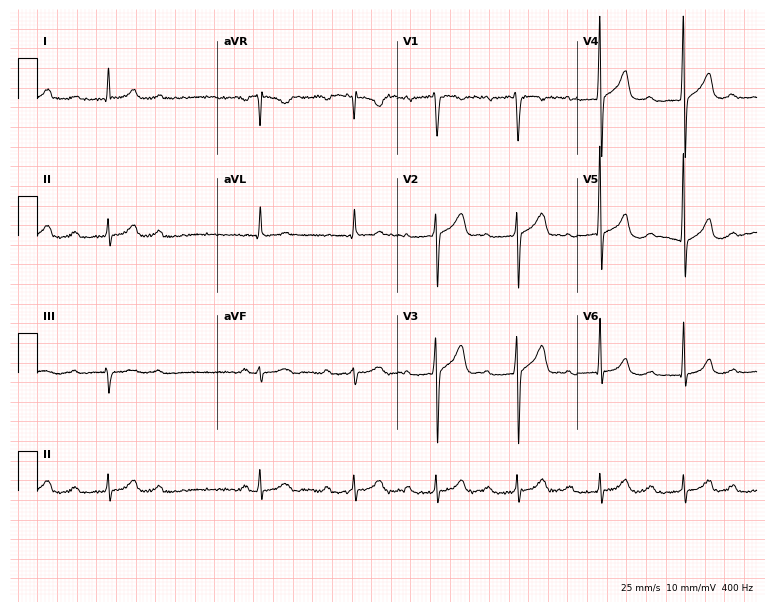
Electrocardiogram (7.3-second recording at 400 Hz), a male, 55 years old. Interpretation includes first-degree AV block.